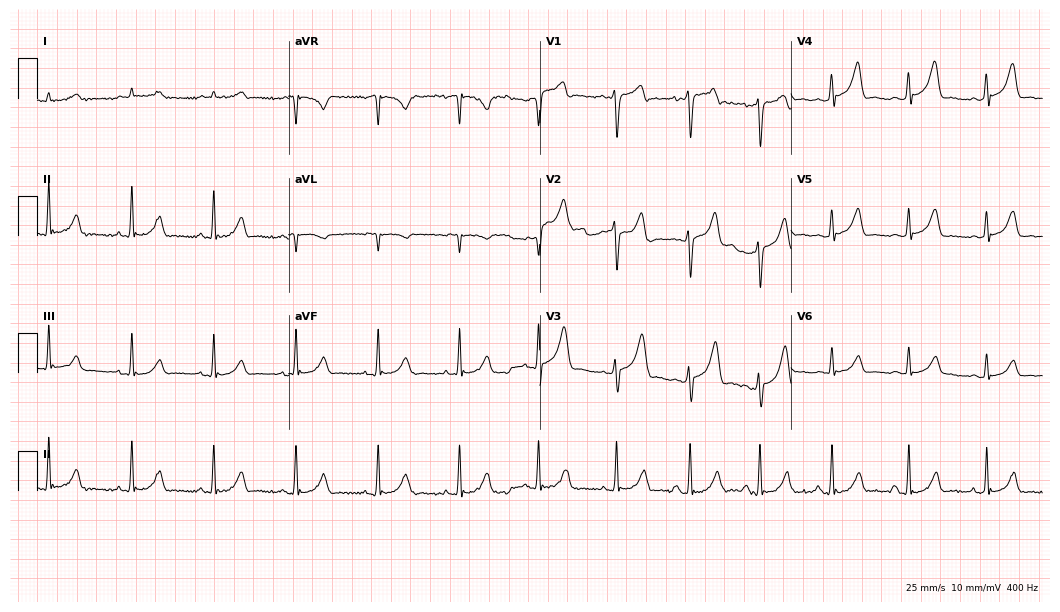
ECG (10.2-second recording at 400 Hz) — a 39-year-old male patient. Labelled as a normal ECG.